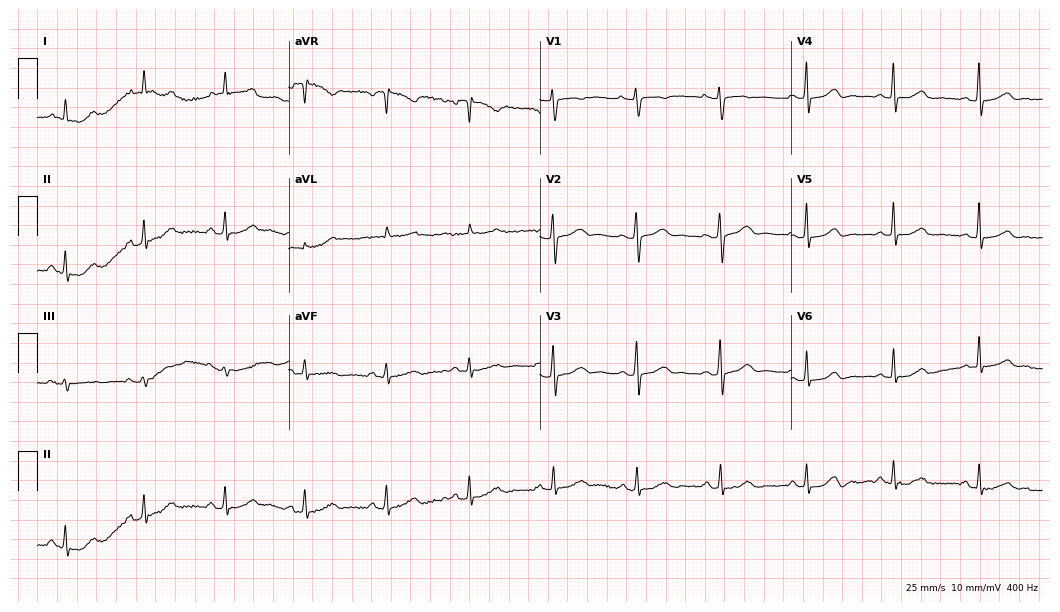
Standard 12-lead ECG recorded from a 58-year-old female patient (10.2-second recording at 400 Hz). Read as a normal ECG.